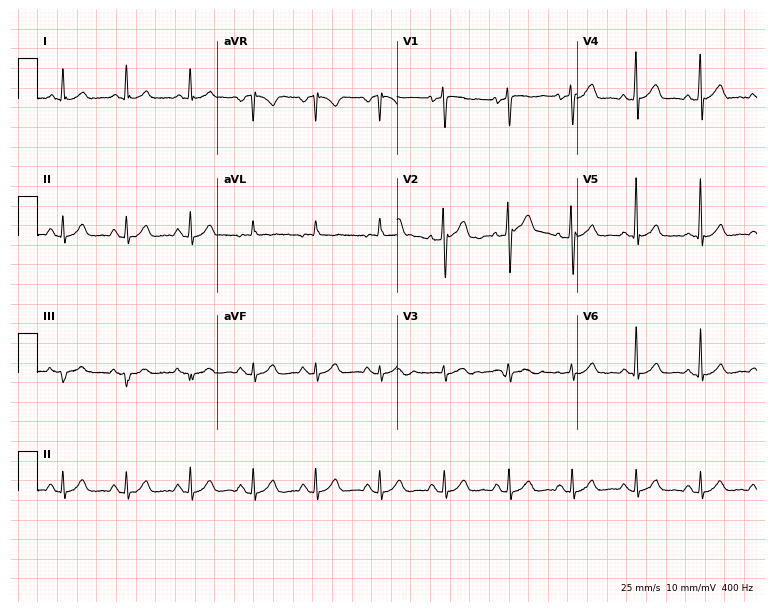
Standard 12-lead ECG recorded from a male, 50 years old (7.3-second recording at 400 Hz). Read as a normal ECG.